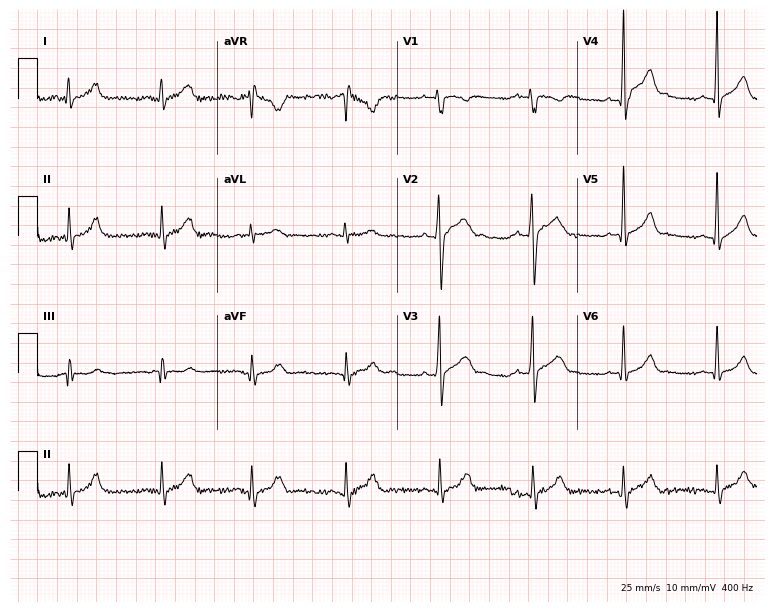
12-lead ECG from a 26-year-old male (7.3-second recording at 400 Hz). No first-degree AV block, right bundle branch block, left bundle branch block, sinus bradycardia, atrial fibrillation or sinus tachycardia recorded for this tracing.